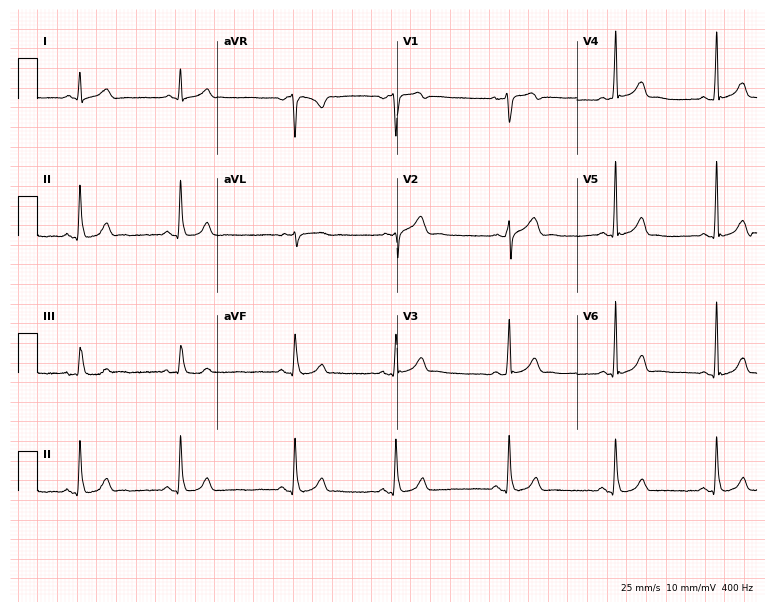
12-lead ECG from a man, 21 years old (7.3-second recording at 400 Hz). Recorded interpretation: within normal limits.